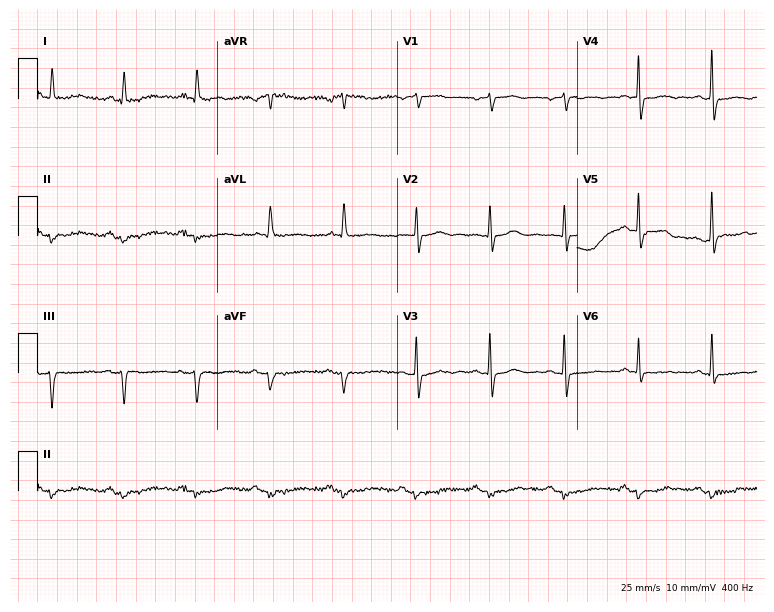
12-lead ECG from a 65-year-old female patient. Screened for six findings — first-degree AV block, right bundle branch block, left bundle branch block, sinus bradycardia, atrial fibrillation, sinus tachycardia — none is recorded.